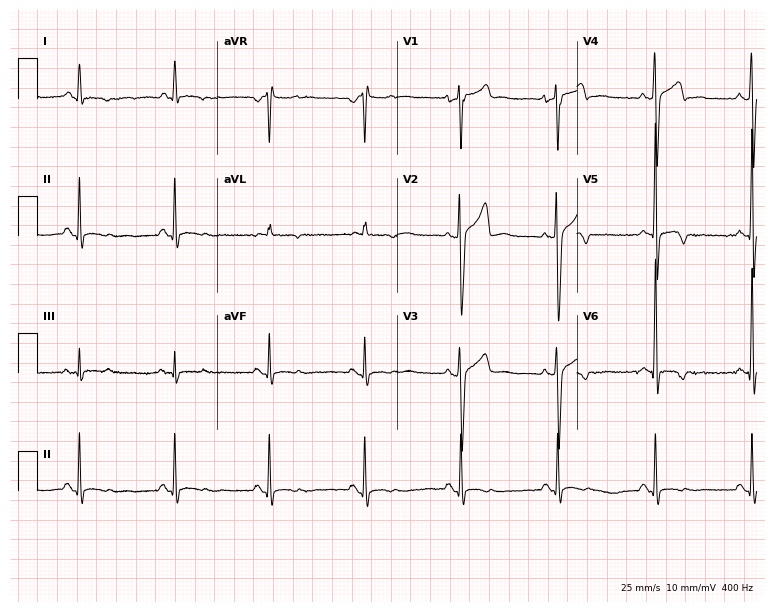
Resting 12-lead electrocardiogram (7.3-second recording at 400 Hz). Patient: a man, 50 years old. None of these six findings is recorded: first-degree AV block, right bundle branch block, left bundle branch block, sinus bradycardia, atrial fibrillation, sinus tachycardia.